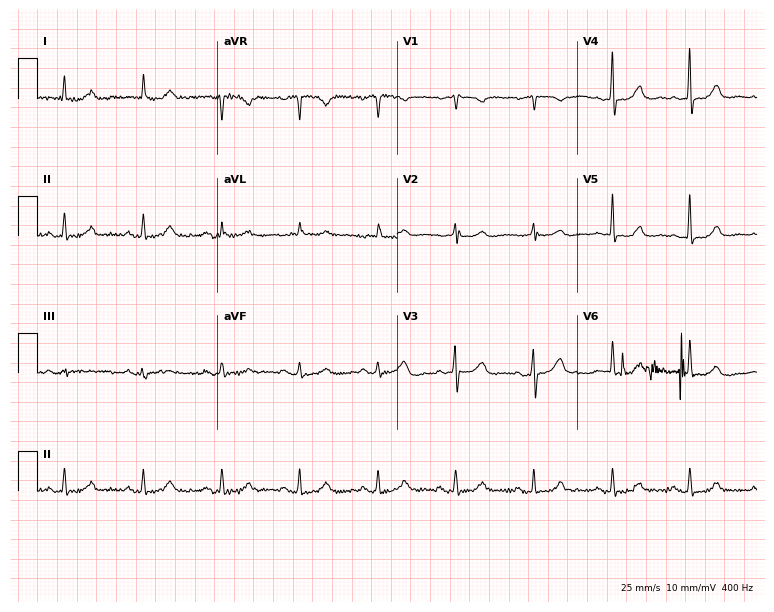
Standard 12-lead ECG recorded from a female, 67 years old. Read as a normal ECG.